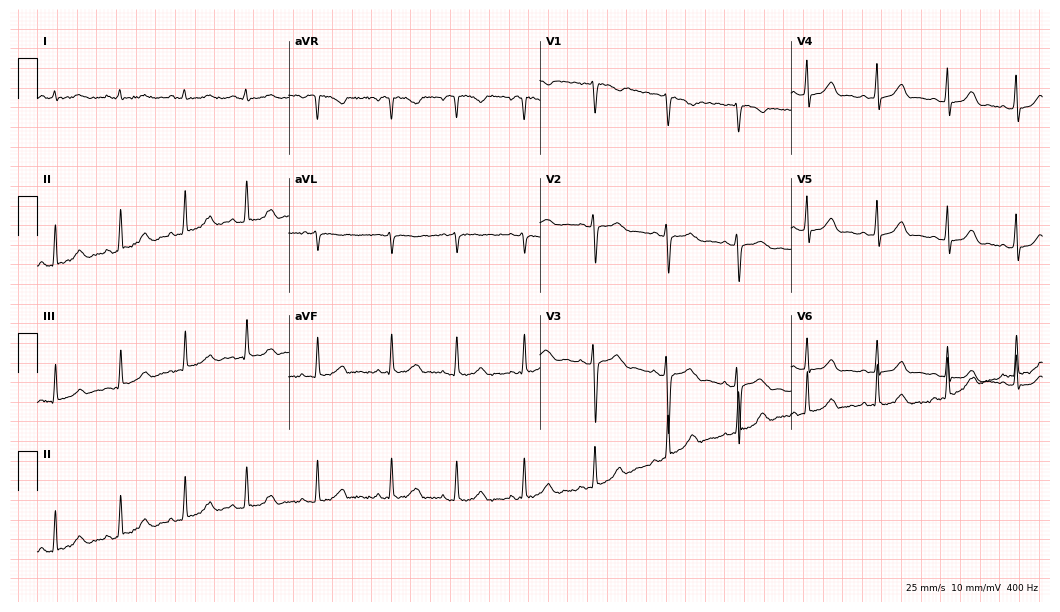
Resting 12-lead electrocardiogram (10.2-second recording at 400 Hz). Patient: a woman, 17 years old. Read as a normal ECG.